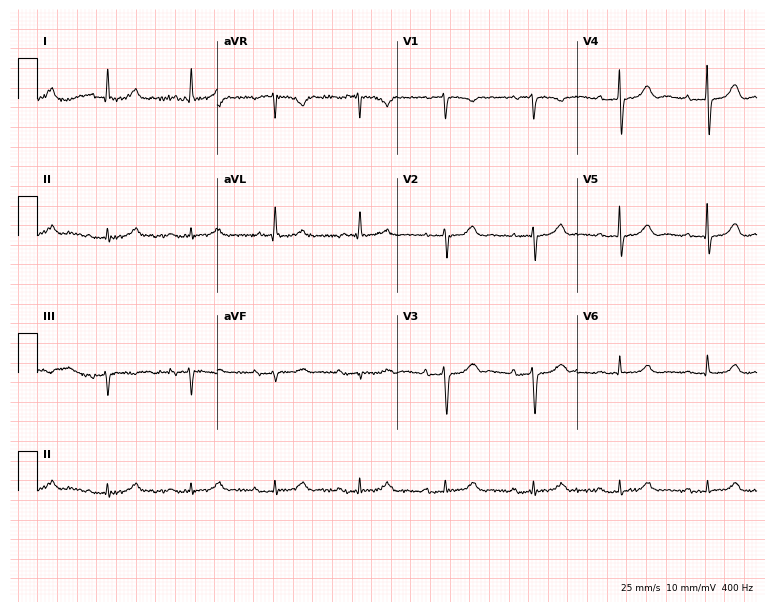
Resting 12-lead electrocardiogram (7.3-second recording at 400 Hz). Patient: a man, 81 years old. The tracing shows first-degree AV block.